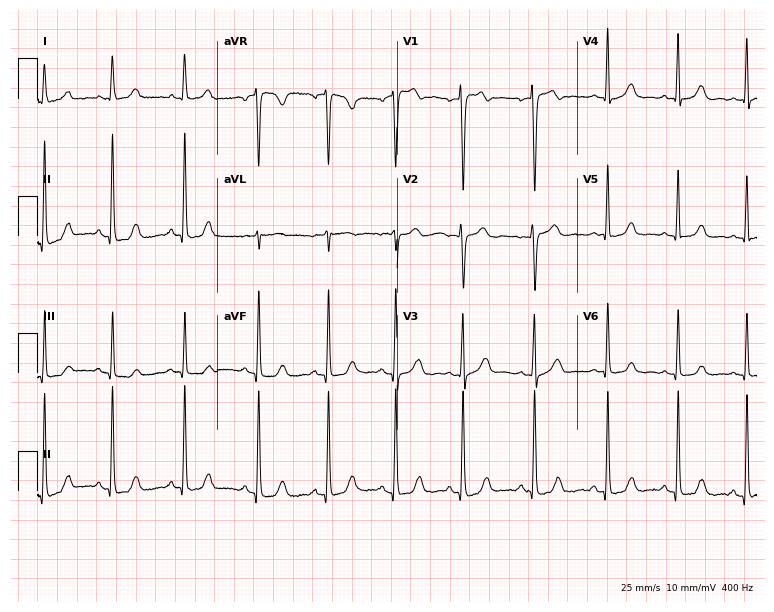
Resting 12-lead electrocardiogram. Patient: a female, 54 years old. Read as a normal ECG.